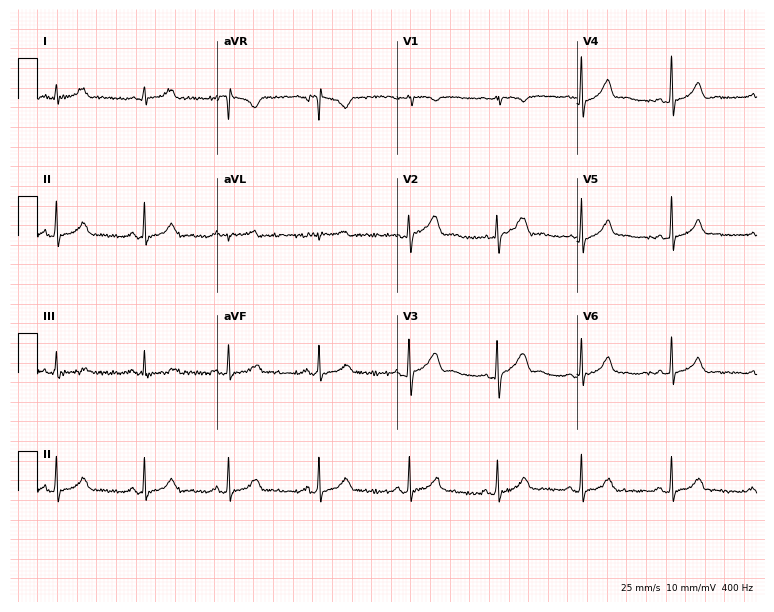
12-lead ECG (7.3-second recording at 400 Hz) from a 24-year-old female patient. Screened for six findings — first-degree AV block, right bundle branch block, left bundle branch block, sinus bradycardia, atrial fibrillation, sinus tachycardia — none is recorded.